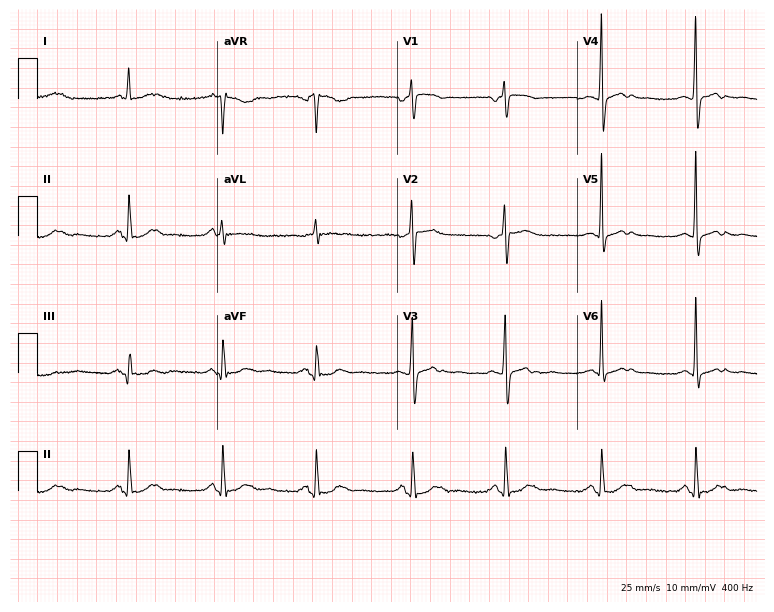
Standard 12-lead ECG recorded from a 70-year-old woman (7.3-second recording at 400 Hz). None of these six findings is recorded: first-degree AV block, right bundle branch block (RBBB), left bundle branch block (LBBB), sinus bradycardia, atrial fibrillation (AF), sinus tachycardia.